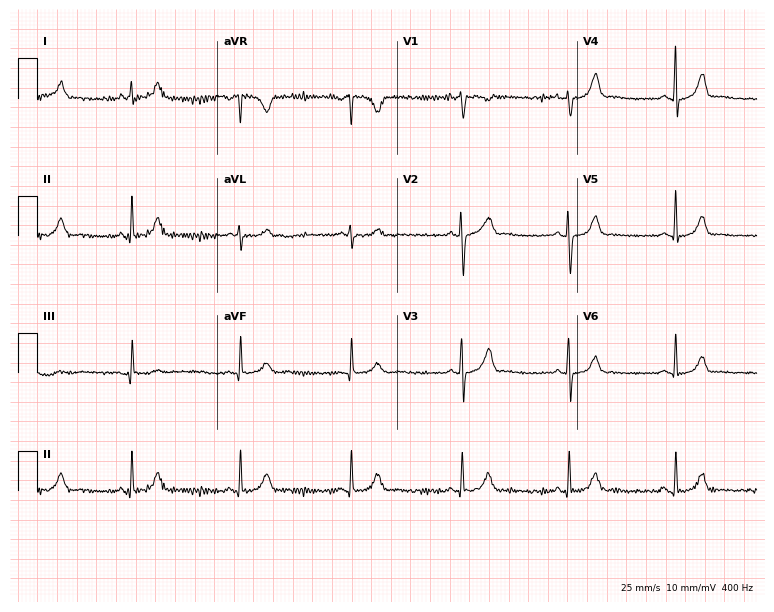
Standard 12-lead ECG recorded from a female, 27 years old. Read as a normal ECG.